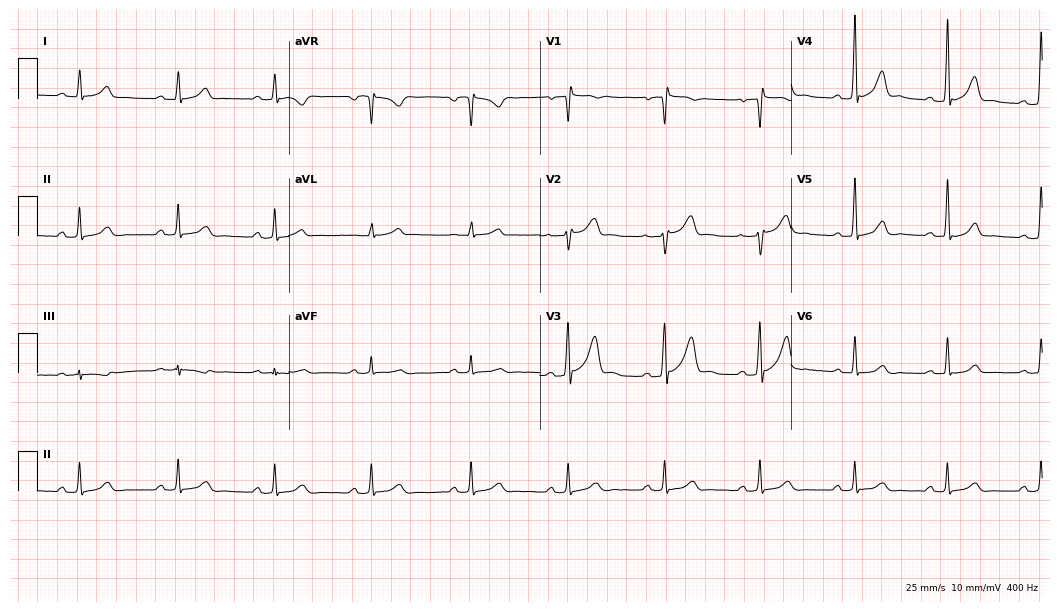
Standard 12-lead ECG recorded from a 47-year-old man (10.2-second recording at 400 Hz). None of these six findings is recorded: first-degree AV block, right bundle branch block (RBBB), left bundle branch block (LBBB), sinus bradycardia, atrial fibrillation (AF), sinus tachycardia.